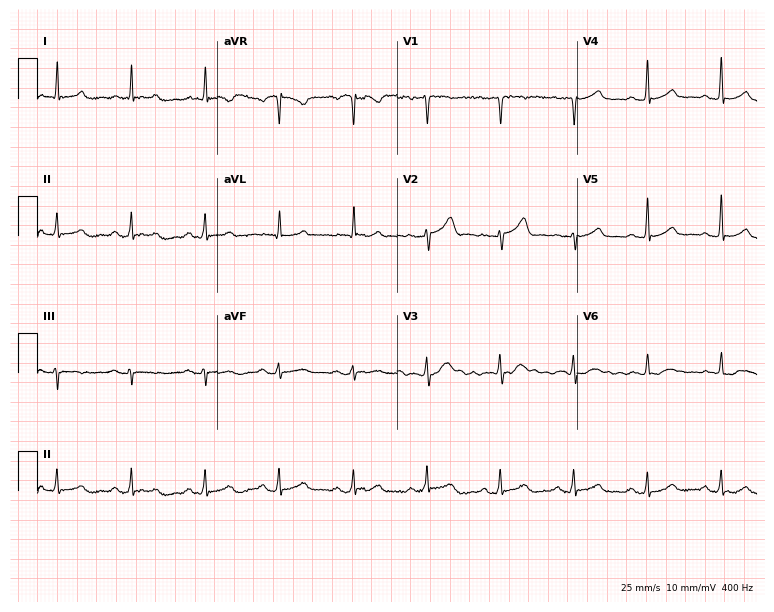
Resting 12-lead electrocardiogram. Patient: a male, 54 years old. None of these six findings is recorded: first-degree AV block, right bundle branch block, left bundle branch block, sinus bradycardia, atrial fibrillation, sinus tachycardia. Other findings, if any, are not listed.